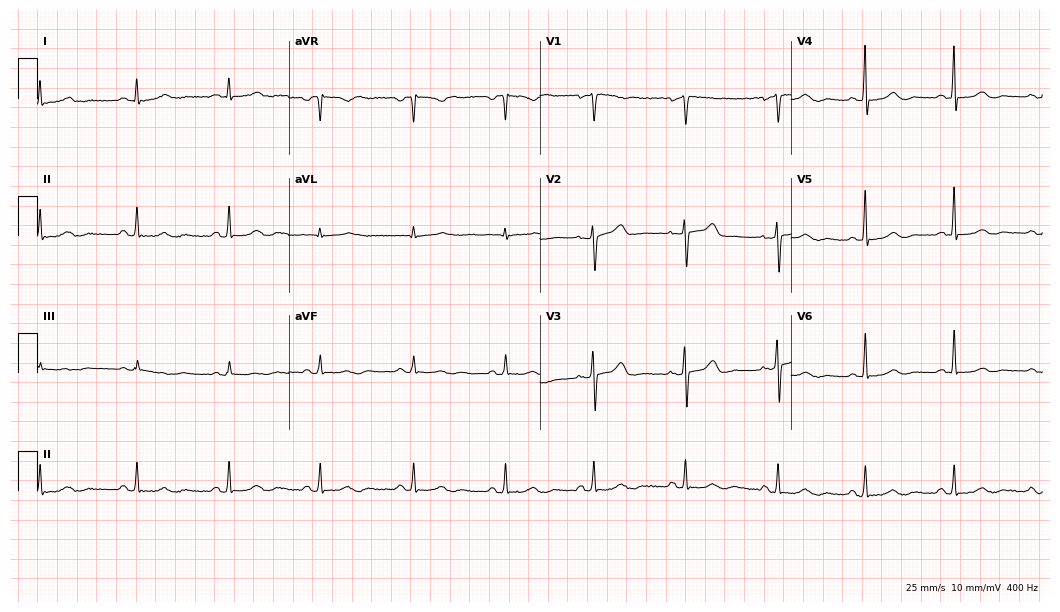
Standard 12-lead ECG recorded from a woman, 55 years old. None of these six findings is recorded: first-degree AV block, right bundle branch block, left bundle branch block, sinus bradycardia, atrial fibrillation, sinus tachycardia. Findings outside these six are not listed.